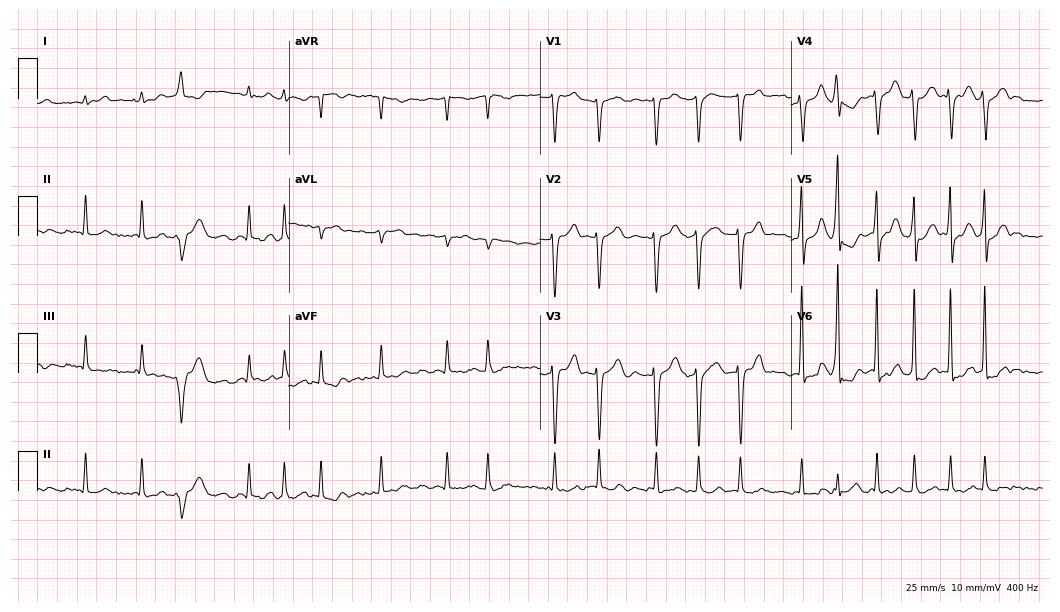
12-lead ECG from a 79-year-old female patient (10.2-second recording at 400 Hz). Shows atrial fibrillation.